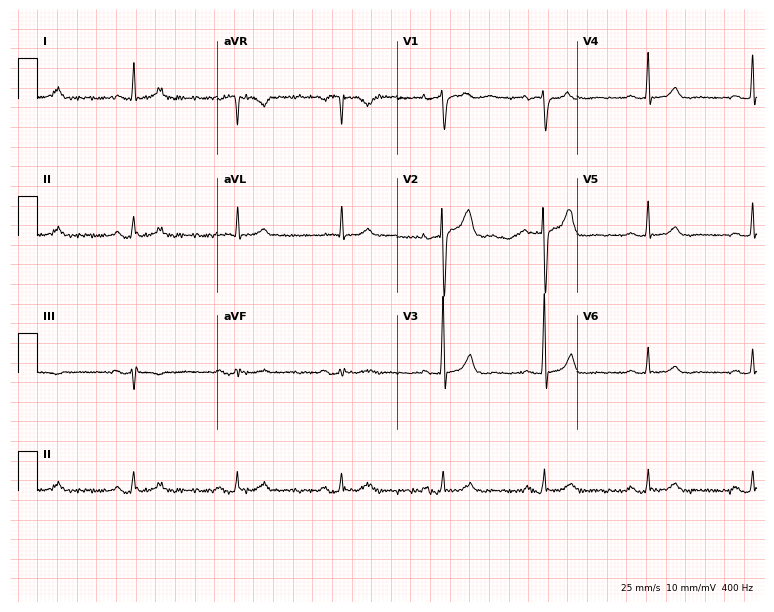
Standard 12-lead ECG recorded from a man, 80 years old (7.3-second recording at 400 Hz). Read as a normal ECG.